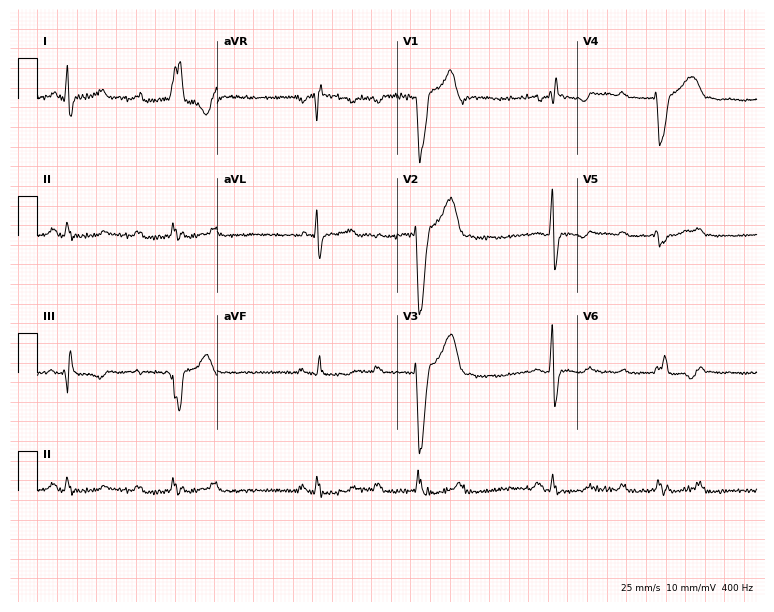
Resting 12-lead electrocardiogram. Patient: a male, 56 years old. None of these six findings is recorded: first-degree AV block, right bundle branch block, left bundle branch block, sinus bradycardia, atrial fibrillation, sinus tachycardia.